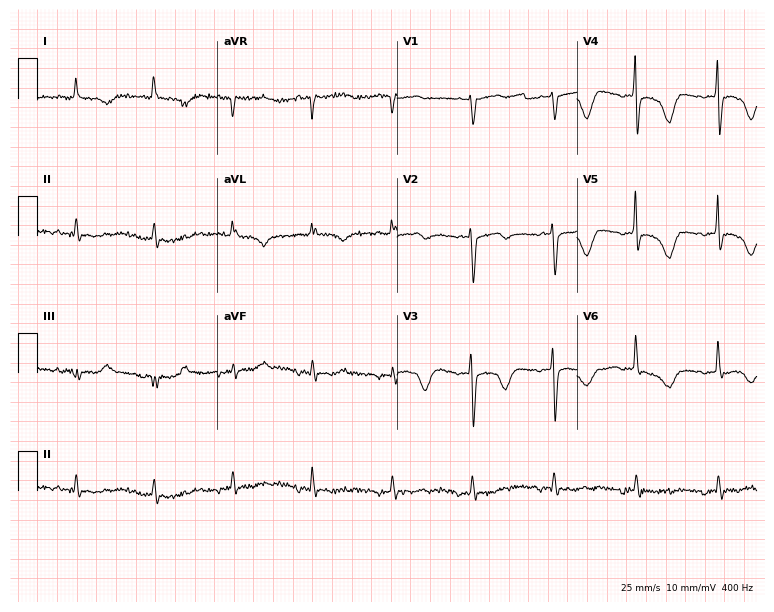
12-lead ECG from a 77-year-old female patient. No first-degree AV block, right bundle branch block, left bundle branch block, sinus bradycardia, atrial fibrillation or sinus tachycardia recorded for this tracing.